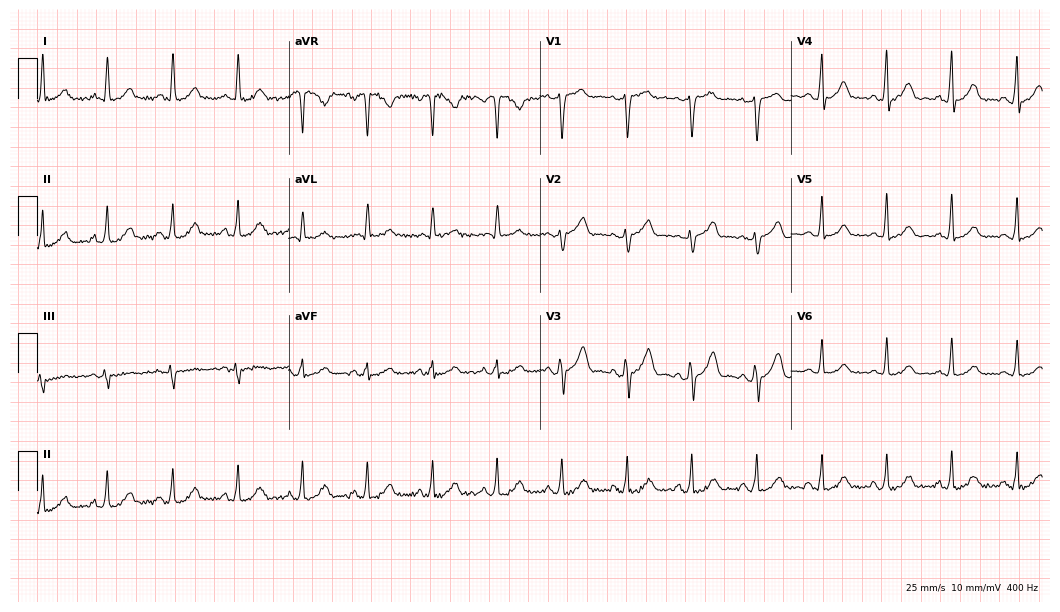
Electrocardiogram (10.2-second recording at 400 Hz), a 49-year-old woman. Overall reading on record: normal ECG.